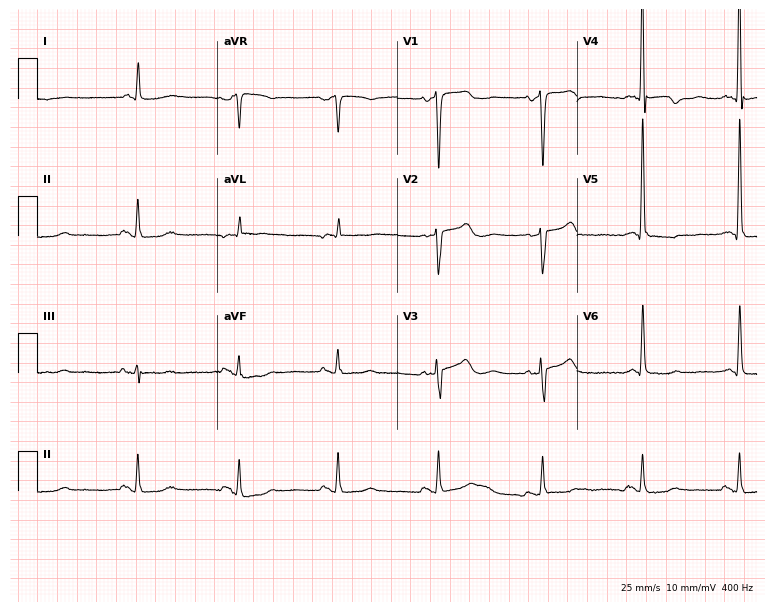
Standard 12-lead ECG recorded from a male, 72 years old (7.3-second recording at 400 Hz). None of these six findings is recorded: first-degree AV block, right bundle branch block (RBBB), left bundle branch block (LBBB), sinus bradycardia, atrial fibrillation (AF), sinus tachycardia. Only these six findings were labelled.